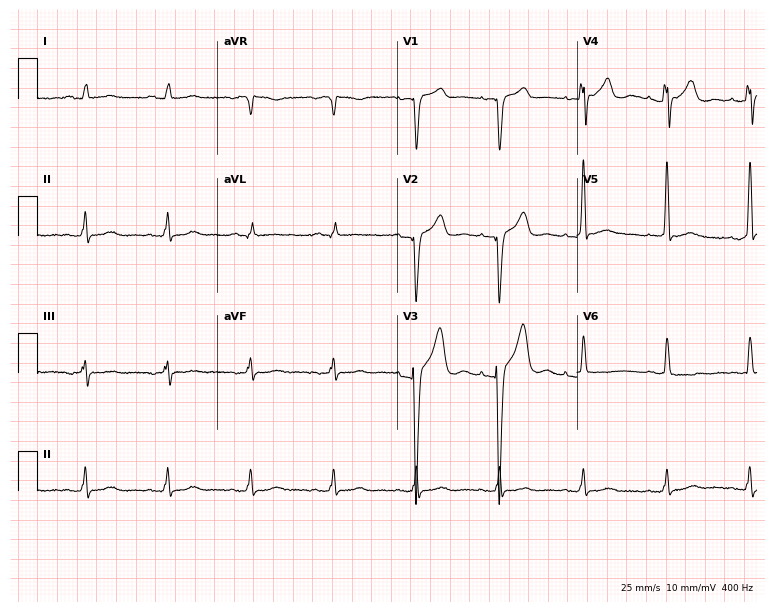
Electrocardiogram (7.3-second recording at 400 Hz), a man, 55 years old. Of the six screened findings (first-degree AV block, right bundle branch block (RBBB), left bundle branch block (LBBB), sinus bradycardia, atrial fibrillation (AF), sinus tachycardia), none is recorded.